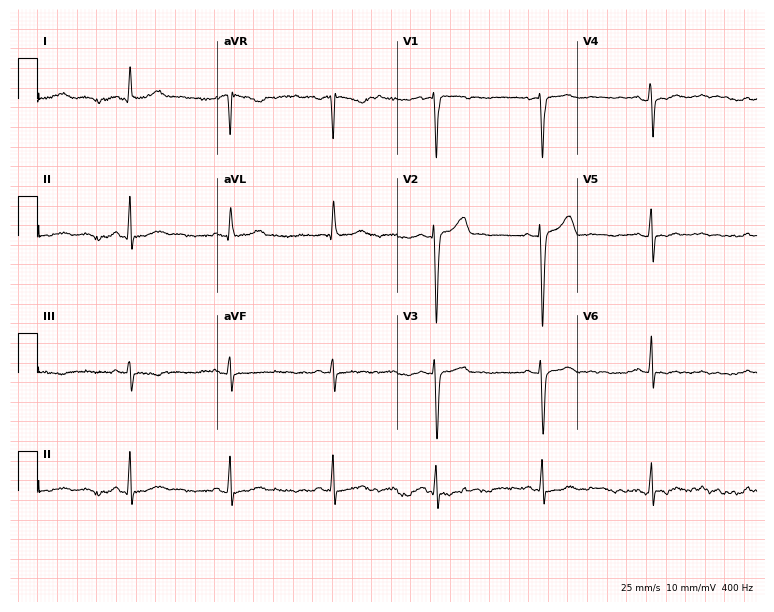
ECG — a 48-year-old male patient. Labelled as a normal ECG.